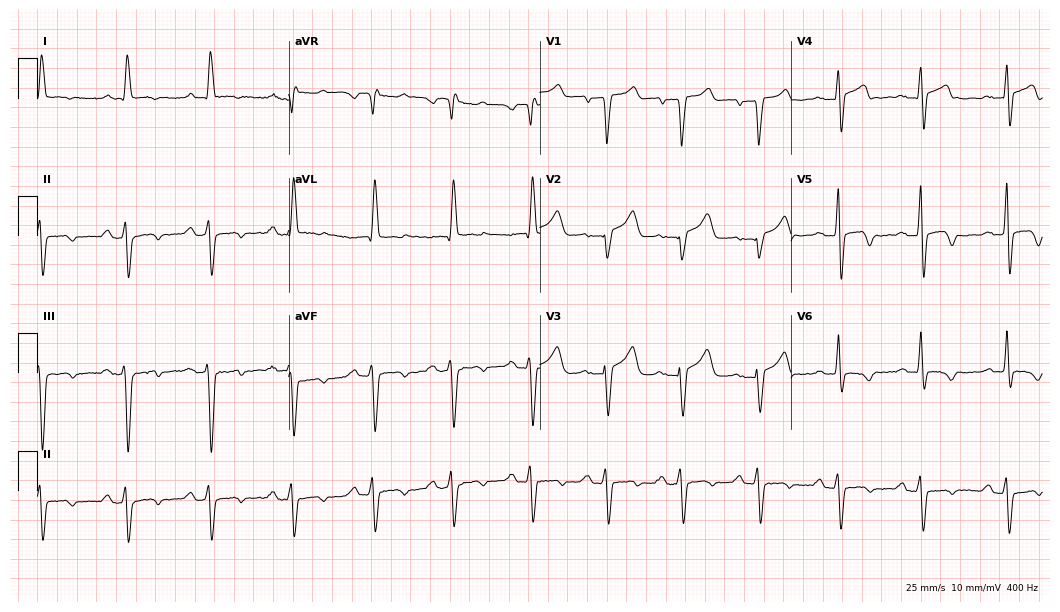
Standard 12-lead ECG recorded from a man, 63 years old. None of these six findings is recorded: first-degree AV block, right bundle branch block, left bundle branch block, sinus bradycardia, atrial fibrillation, sinus tachycardia. Other findings, if any, are not listed.